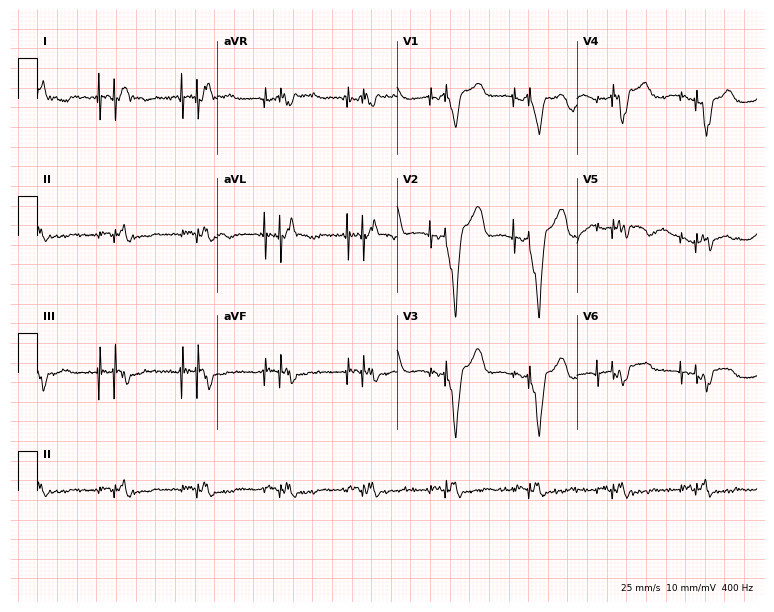
Standard 12-lead ECG recorded from a 55-year-old male (7.3-second recording at 400 Hz). None of these six findings is recorded: first-degree AV block, right bundle branch block (RBBB), left bundle branch block (LBBB), sinus bradycardia, atrial fibrillation (AF), sinus tachycardia. Other findings, if any, are not listed.